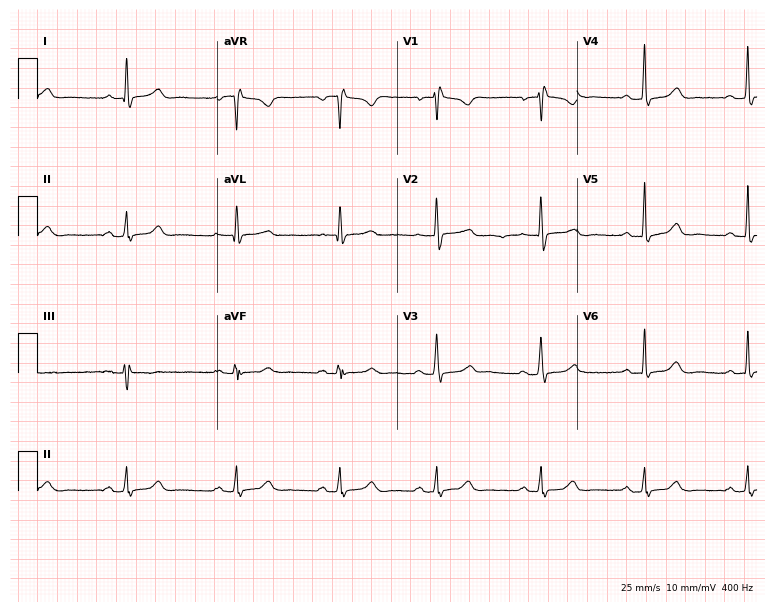
Standard 12-lead ECG recorded from a female patient, 52 years old. Read as a normal ECG.